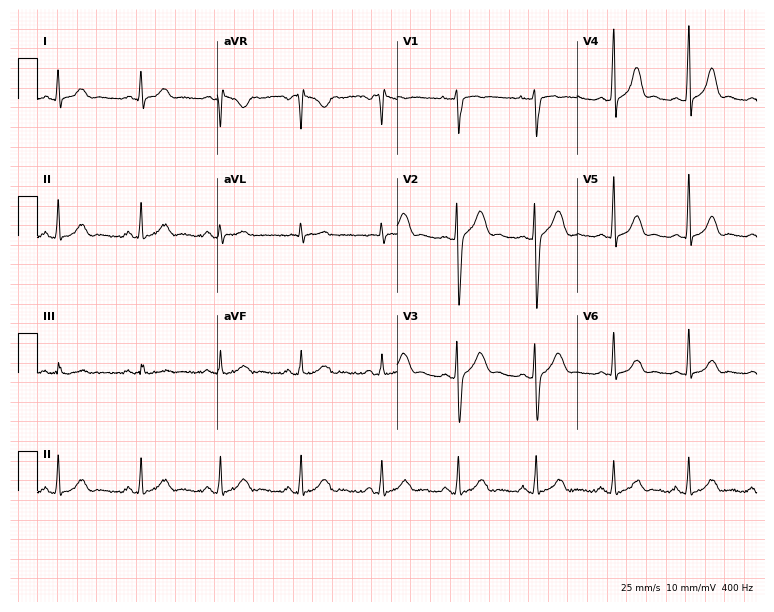
ECG (7.3-second recording at 400 Hz) — a female, 29 years old. Screened for six findings — first-degree AV block, right bundle branch block, left bundle branch block, sinus bradycardia, atrial fibrillation, sinus tachycardia — none is recorded. Only these six findings were labelled.